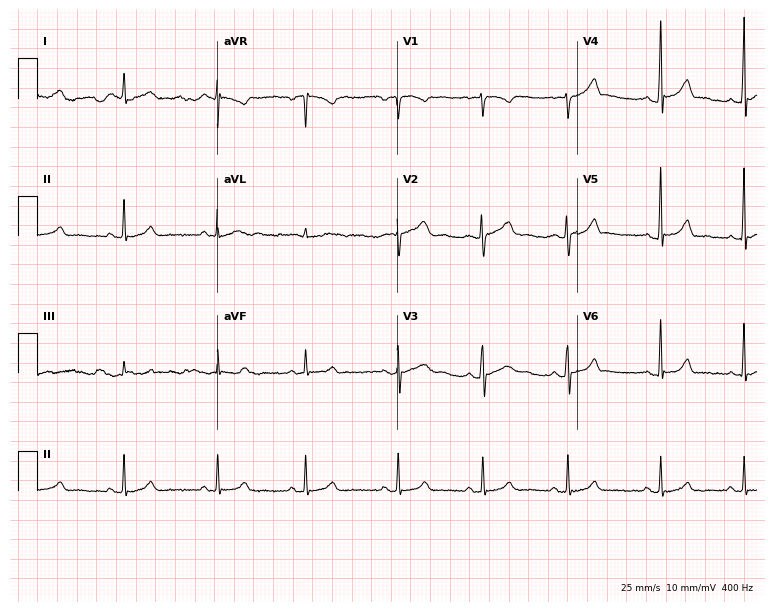
12-lead ECG (7.3-second recording at 400 Hz) from a female, 18 years old. Screened for six findings — first-degree AV block, right bundle branch block, left bundle branch block, sinus bradycardia, atrial fibrillation, sinus tachycardia — none is recorded.